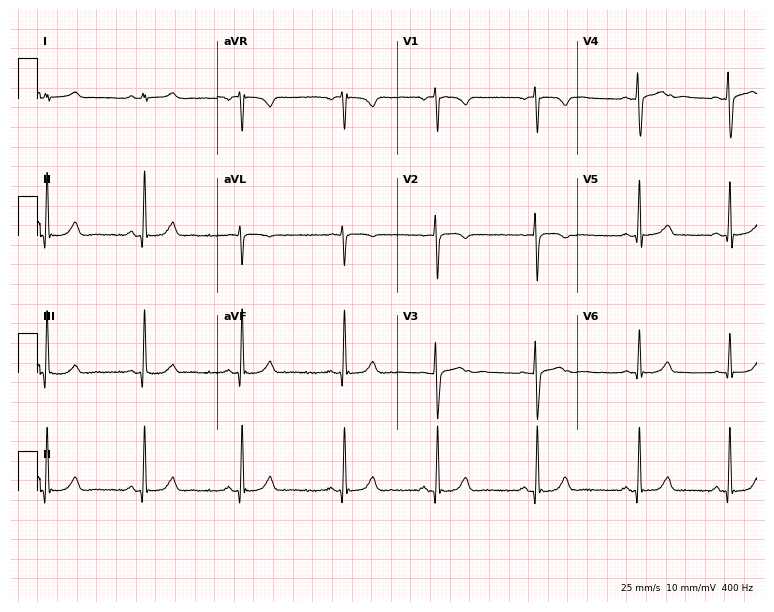
12-lead ECG from a woman, 20 years old. Screened for six findings — first-degree AV block, right bundle branch block, left bundle branch block, sinus bradycardia, atrial fibrillation, sinus tachycardia — none is recorded. Only these six findings were labelled.